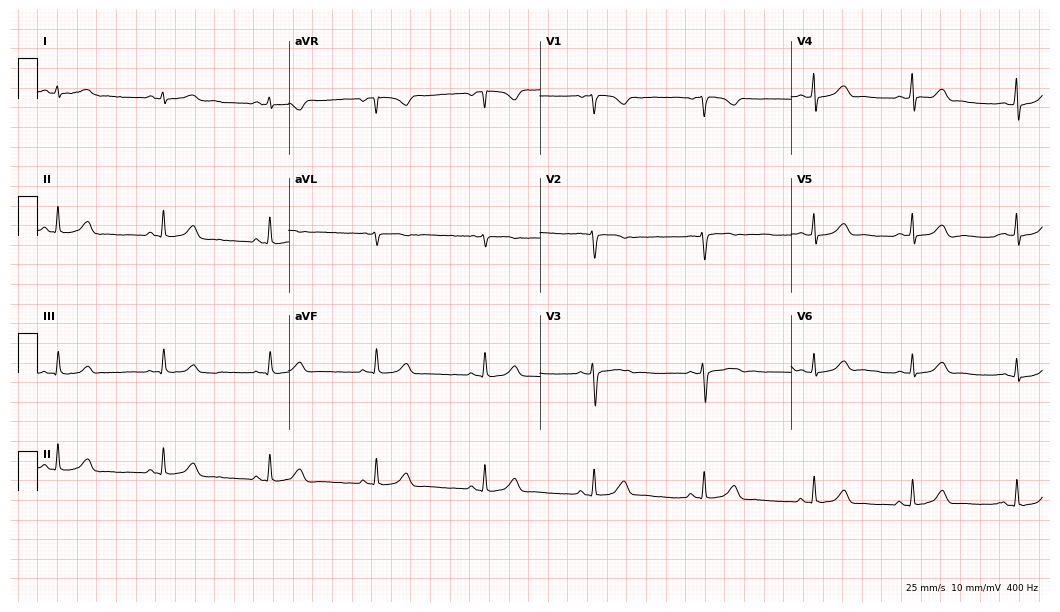
Electrocardiogram, a woman, 24 years old. Overall reading on record: normal ECG.